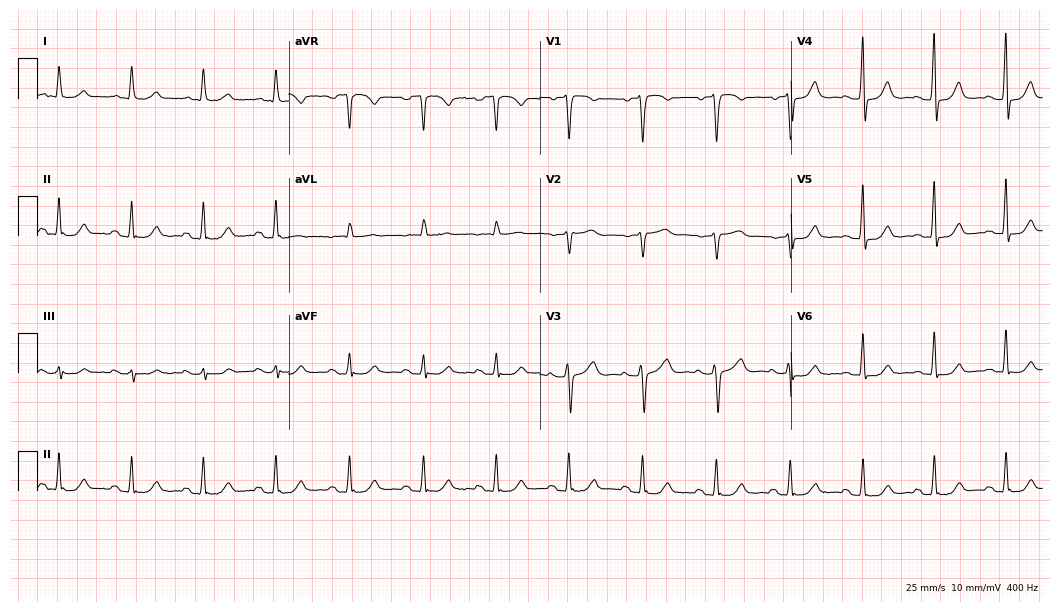
Electrocardiogram (10.2-second recording at 400 Hz), a woman, 63 years old. Of the six screened findings (first-degree AV block, right bundle branch block, left bundle branch block, sinus bradycardia, atrial fibrillation, sinus tachycardia), none is recorded.